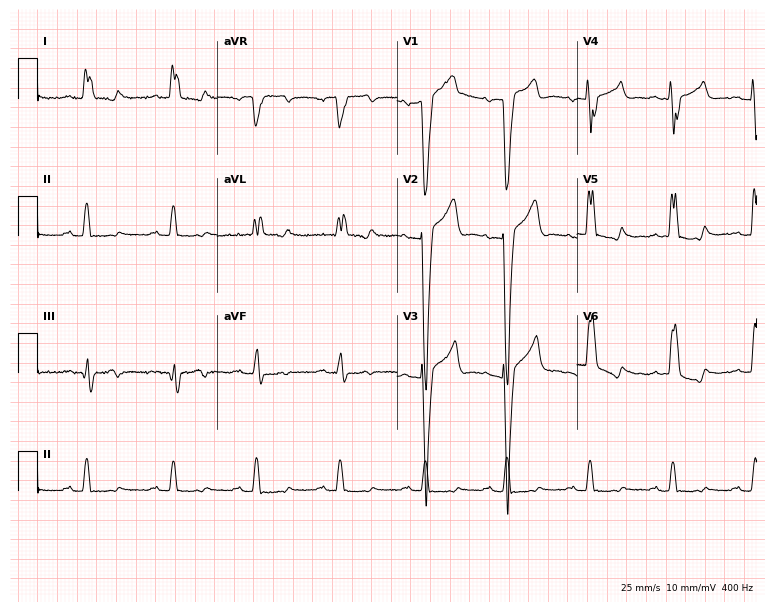
Electrocardiogram (7.3-second recording at 400 Hz), a man, 63 years old. Interpretation includes left bundle branch block.